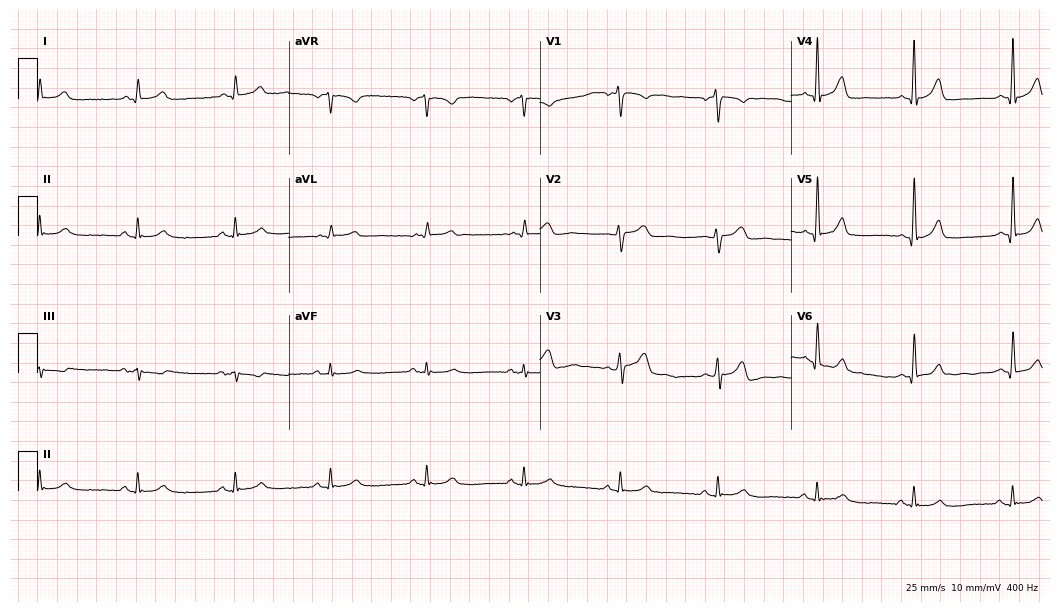
Standard 12-lead ECG recorded from a male patient, 76 years old (10.2-second recording at 400 Hz). Read as a normal ECG.